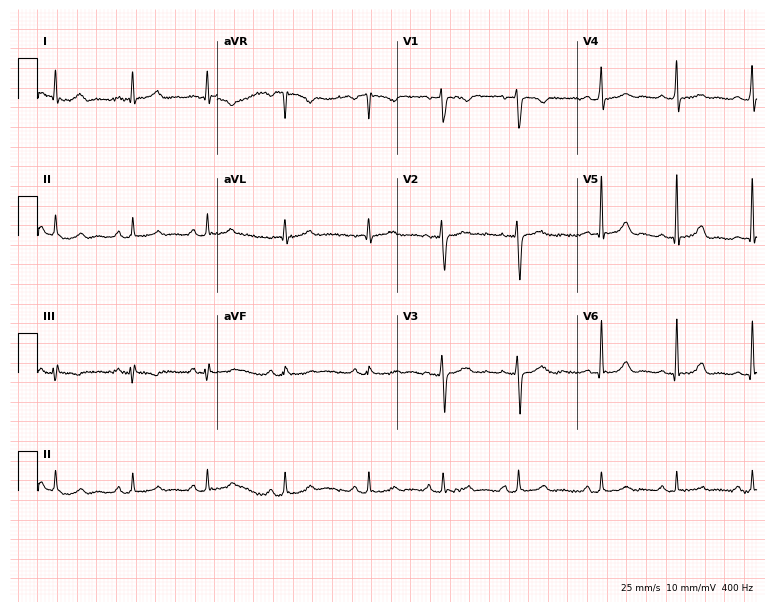
Electrocardiogram (7.3-second recording at 400 Hz), a 21-year-old female. Overall reading on record: normal ECG.